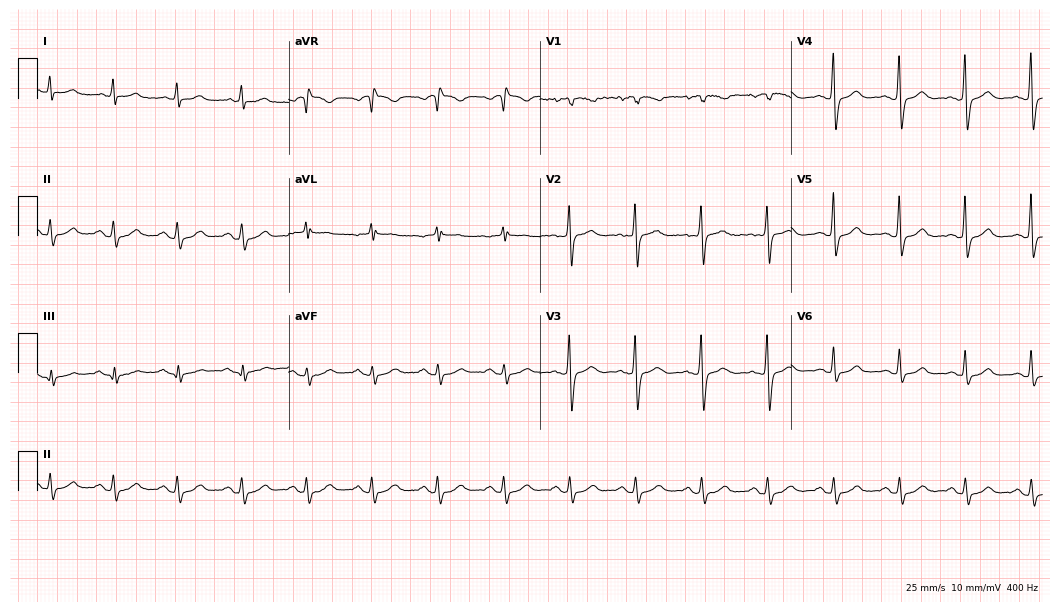
Standard 12-lead ECG recorded from a male, 75 years old. None of these six findings is recorded: first-degree AV block, right bundle branch block, left bundle branch block, sinus bradycardia, atrial fibrillation, sinus tachycardia.